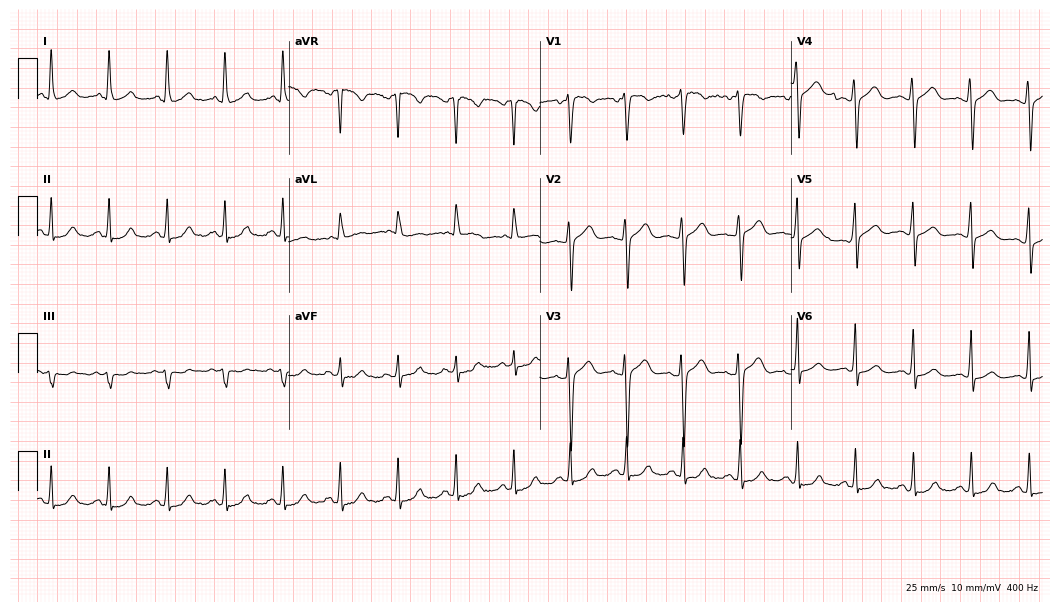
Standard 12-lead ECG recorded from a woman, 51 years old (10.2-second recording at 400 Hz). Read as a normal ECG.